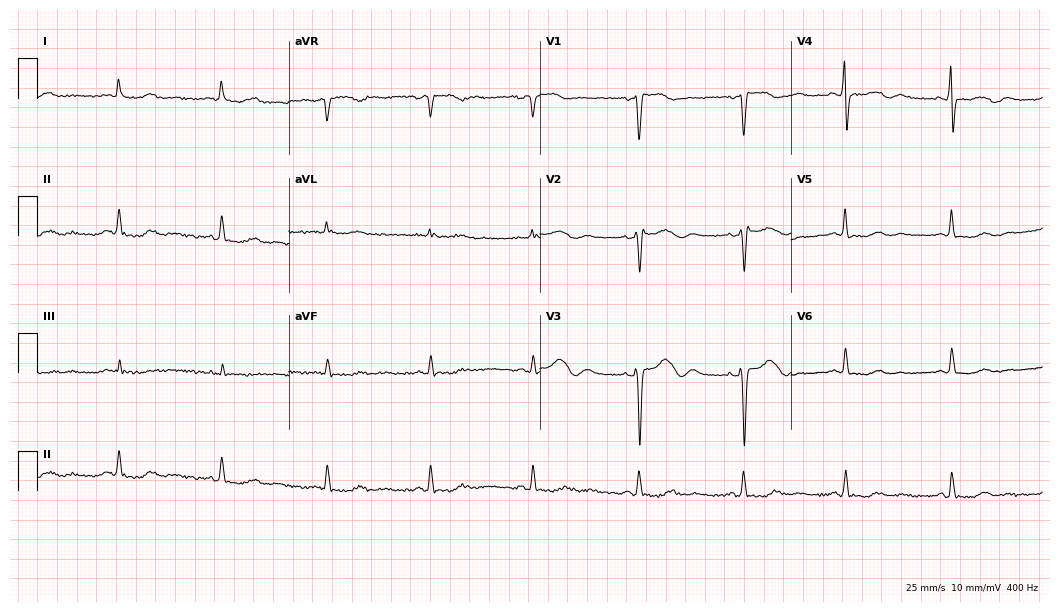
12-lead ECG from a 55-year-old female (10.2-second recording at 400 Hz). No first-degree AV block, right bundle branch block, left bundle branch block, sinus bradycardia, atrial fibrillation or sinus tachycardia recorded for this tracing.